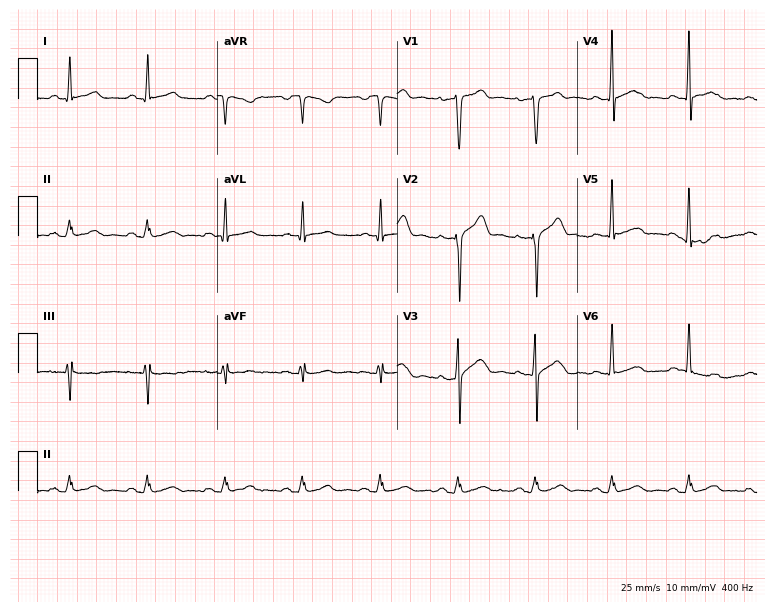
Electrocardiogram (7.3-second recording at 400 Hz), a male, 43 years old. Of the six screened findings (first-degree AV block, right bundle branch block (RBBB), left bundle branch block (LBBB), sinus bradycardia, atrial fibrillation (AF), sinus tachycardia), none is recorded. Only these six findings were labelled.